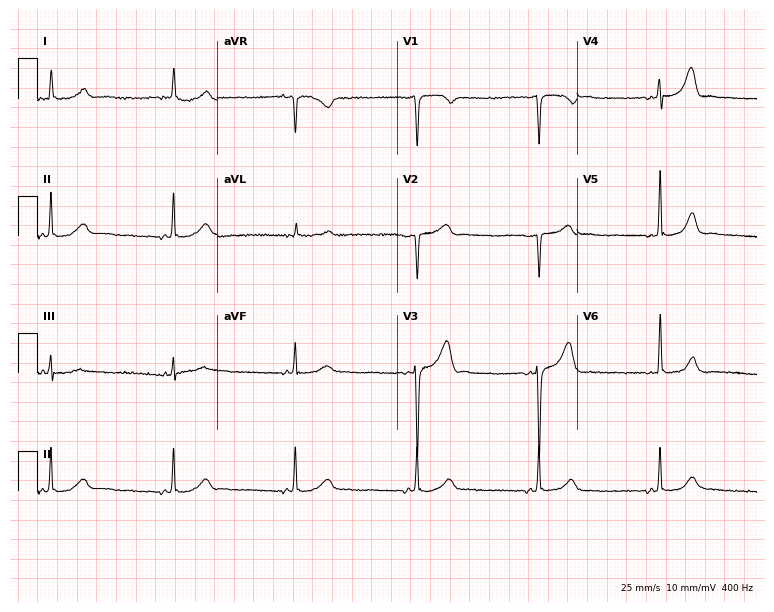
12-lead ECG from a 67-year-old female. No first-degree AV block, right bundle branch block, left bundle branch block, sinus bradycardia, atrial fibrillation or sinus tachycardia recorded for this tracing. Other findings, if any, are not listed.